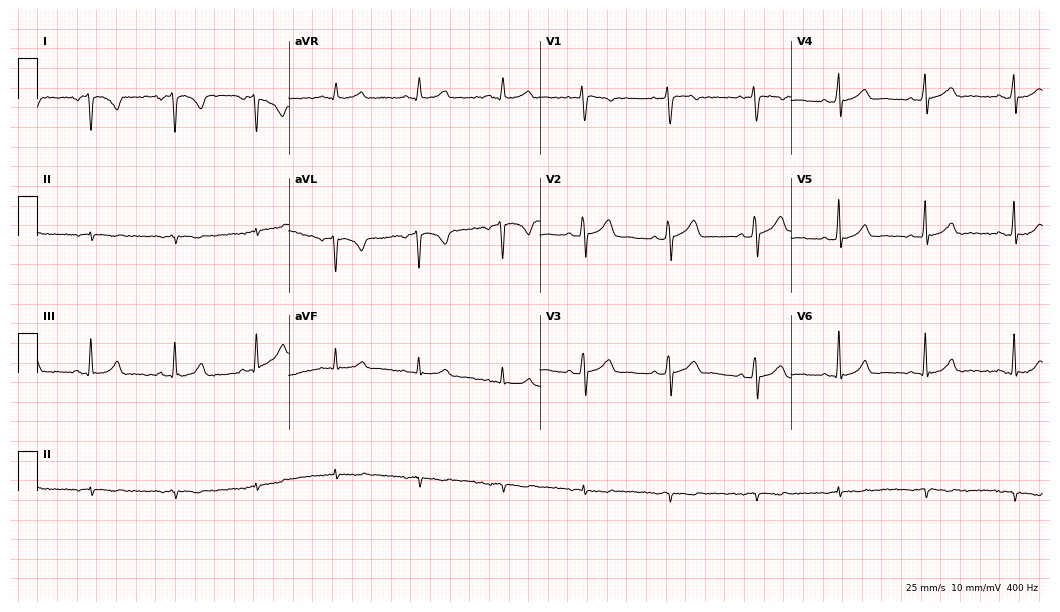
Electrocardiogram (10.2-second recording at 400 Hz), a female, 30 years old. Of the six screened findings (first-degree AV block, right bundle branch block, left bundle branch block, sinus bradycardia, atrial fibrillation, sinus tachycardia), none is recorded.